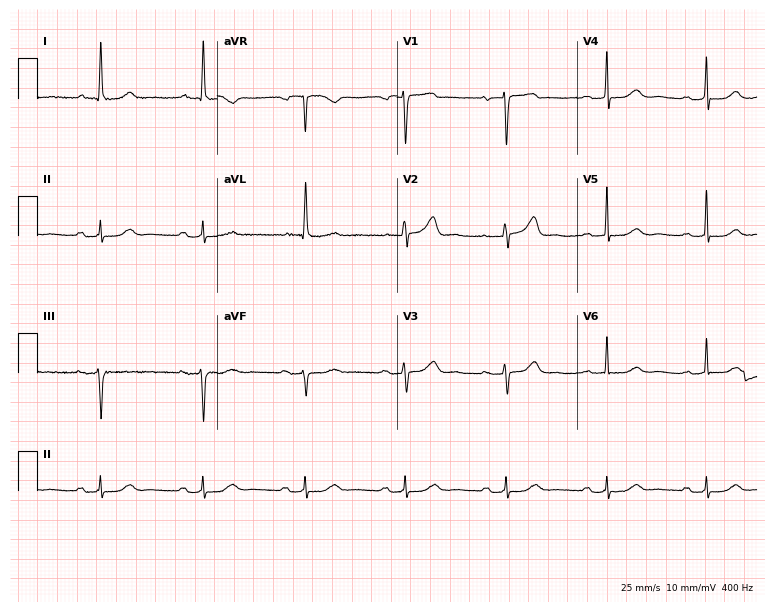
Standard 12-lead ECG recorded from a female, 88 years old (7.3-second recording at 400 Hz). Read as a normal ECG.